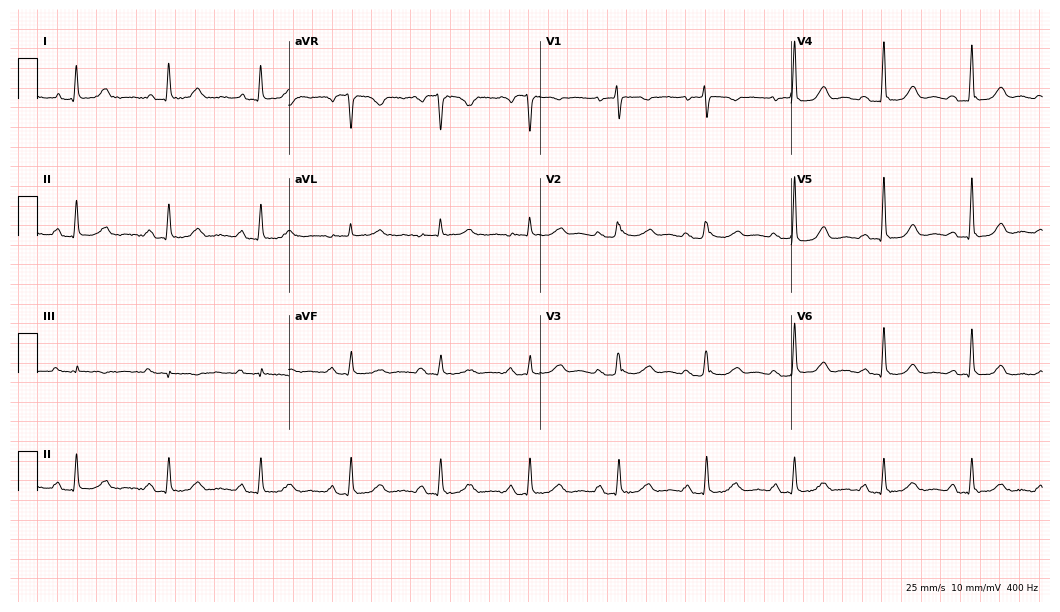
Resting 12-lead electrocardiogram (10.2-second recording at 400 Hz). Patient: a 68-year-old woman. The tracing shows first-degree AV block.